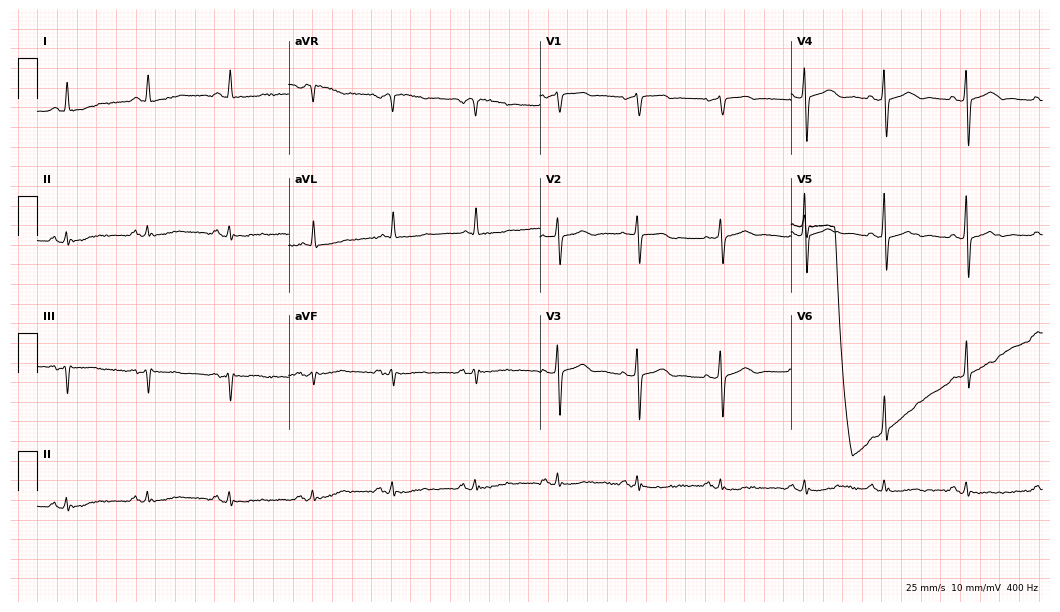
12-lead ECG from a female patient, 86 years old (10.2-second recording at 400 Hz). No first-degree AV block, right bundle branch block, left bundle branch block, sinus bradycardia, atrial fibrillation or sinus tachycardia recorded for this tracing.